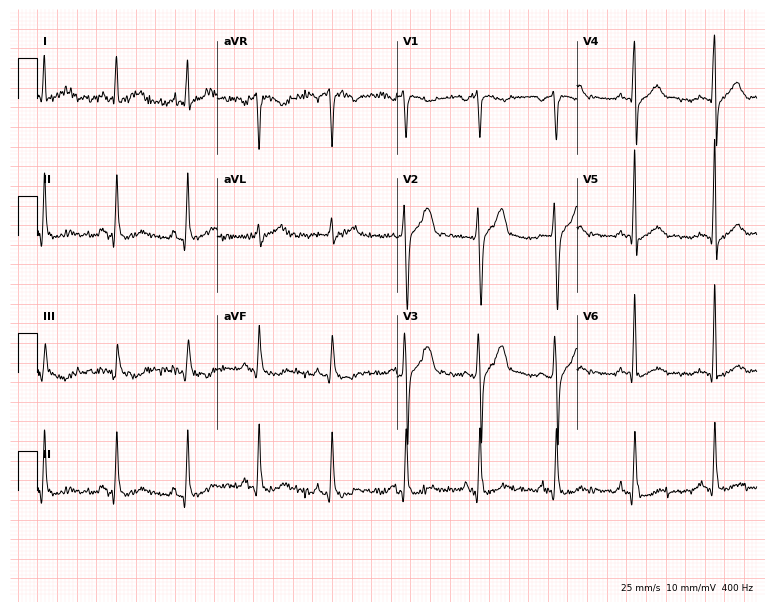
12-lead ECG (7.3-second recording at 400 Hz) from a woman, 33 years old. Labelled as a normal ECG.